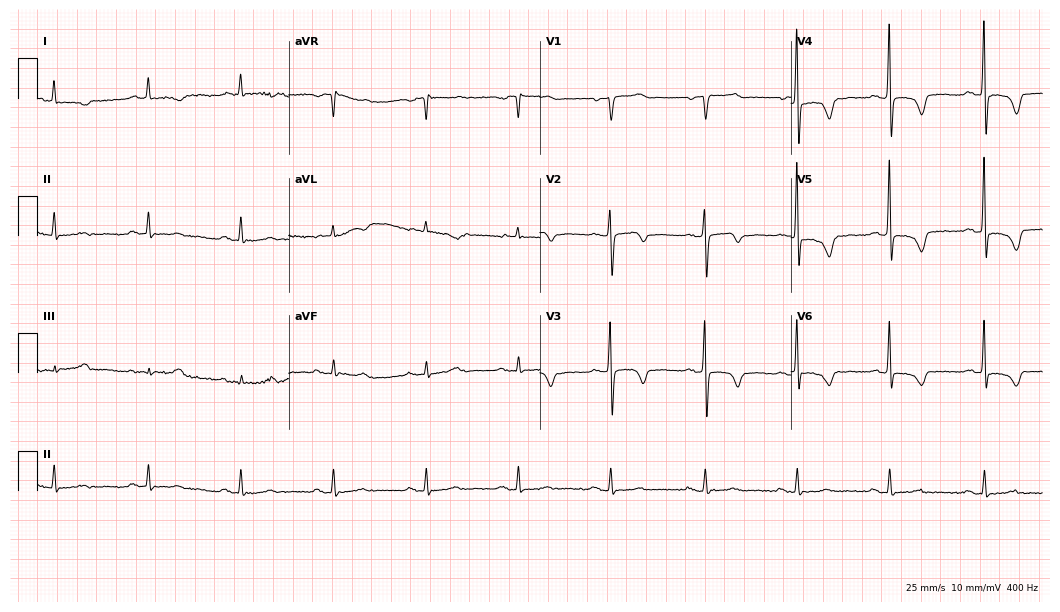
12-lead ECG from a male patient, 85 years old. No first-degree AV block, right bundle branch block, left bundle branch block, sinus bradycardia, atrial fibrillation or sinus tachycardia recorded for this tracing.